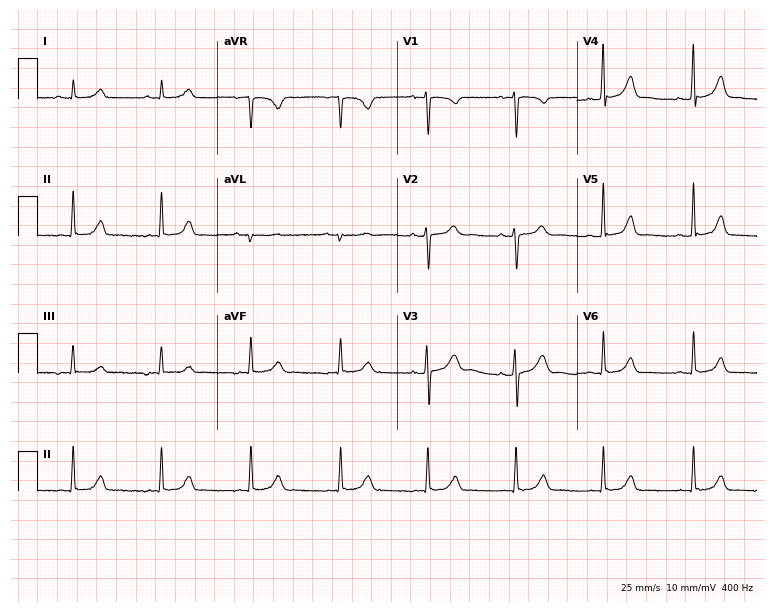
ECG — a 45-year-old woman. Labelled as a normal ECG.